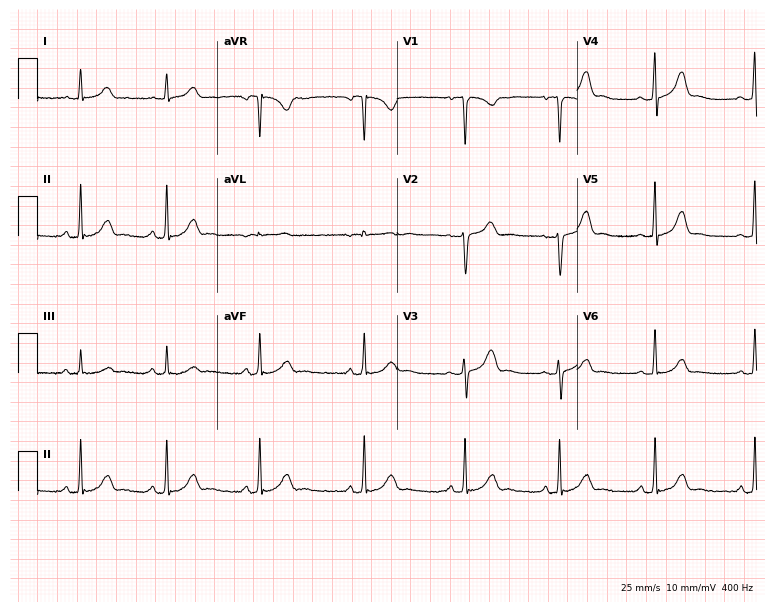
12-lead ECG (7.3-second recording at 400 Hz) from a 20-year-old female. Labelled as a normal ECG.